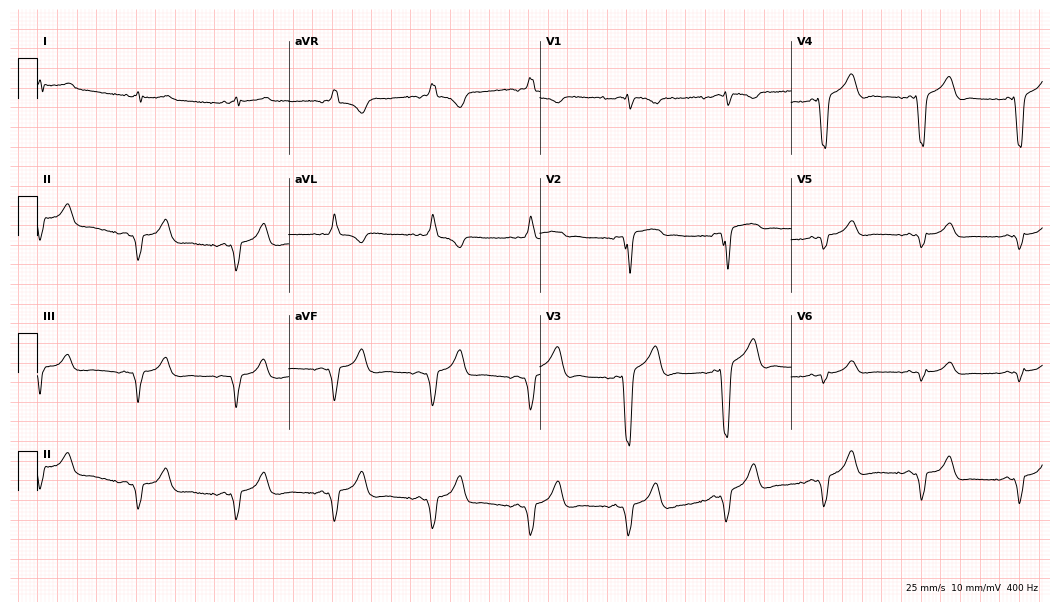
Standard 12-lead ECG recorded from a woman, 66 years old (10.2-second recording at 400 Hz). The tracing shows left bundle branch block (LBBB).